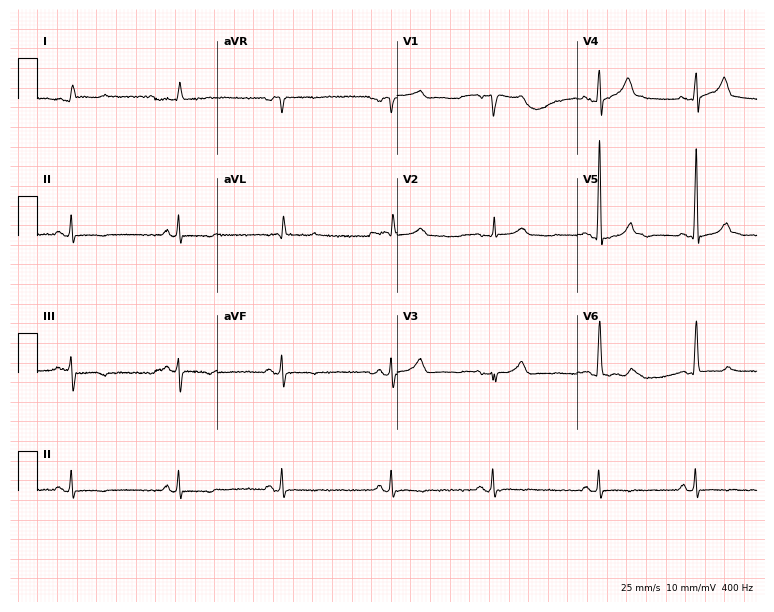
Resting 12-lead electrocardiogram. Patient: a man, 85 years old. None of these six findings is recorded: first-degree AV block, right bundle branch block, left bundle branch block, sinus bradycardia, atrial fibrillation, sinus tachycardia. Only these six findings were labelled.